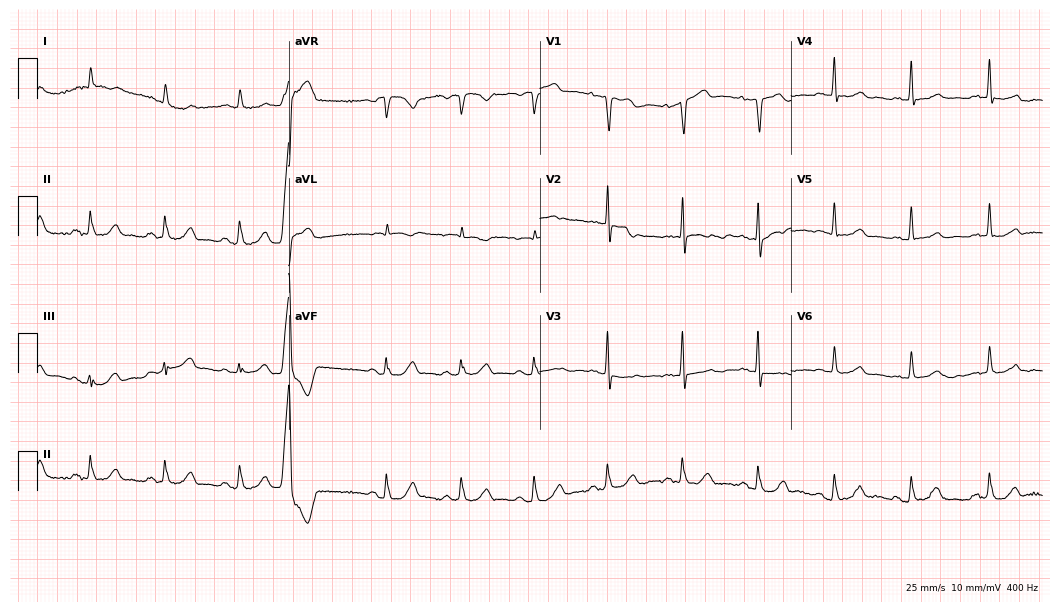
Resting 12-lead electrocardiogram (10.2-second recording at 400 Hz). Patient: a male, 75 years old. None of these six findings is recorded: first-degree AV block, right bundle branch block, left bundle branch block, sinus bradycardia, atrial fibrillation, sinus tachycardia.